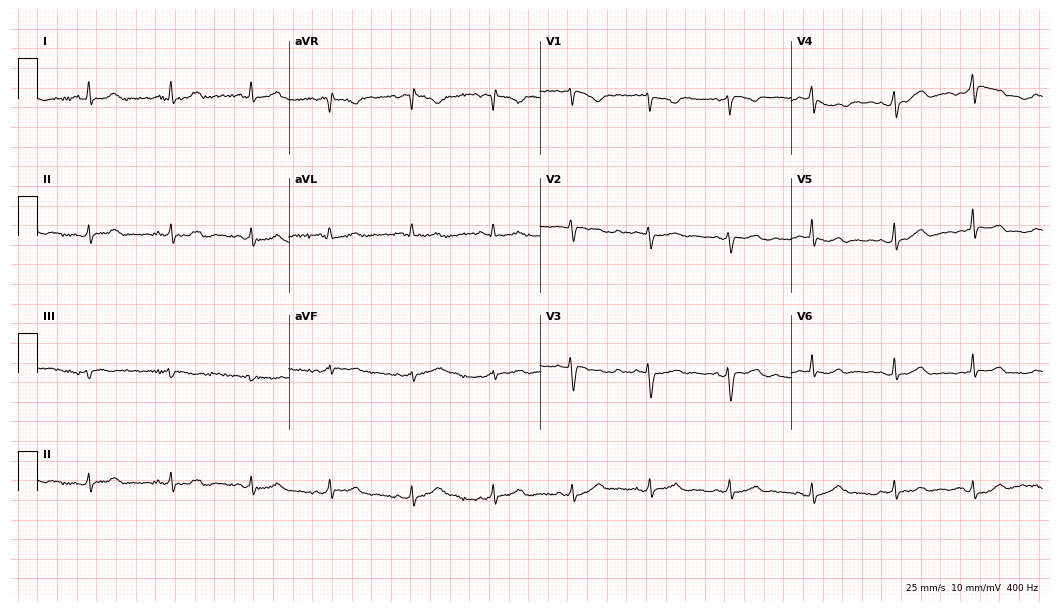
12-lead ECG from a 42-year-old woman (10.2-second recording at 400 Hz). Recorded interpretation: within normal limits.